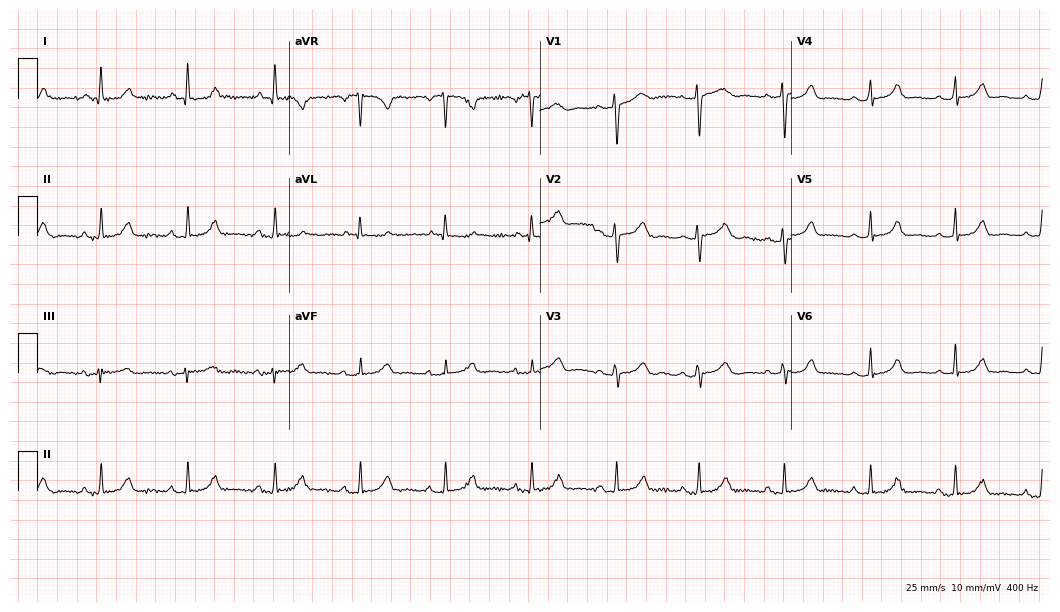
ECG — a woman, 64 years old. Labelled as a normal ECG.